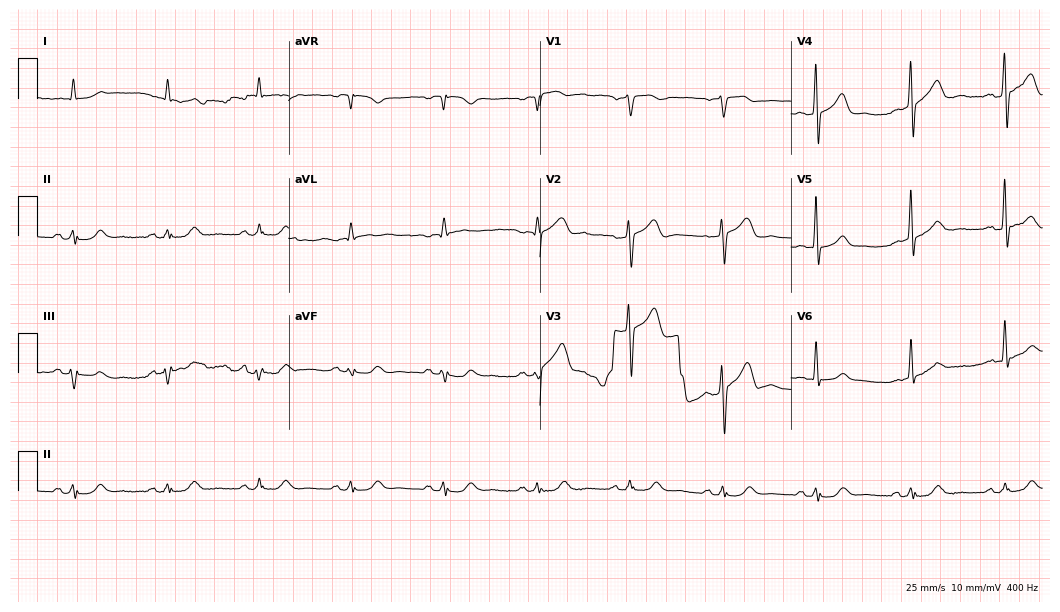
Standard 12-lead ECG recorded from a male, 82 years old (10.2-second recording at 400 Hz). Read as a normal ECG.